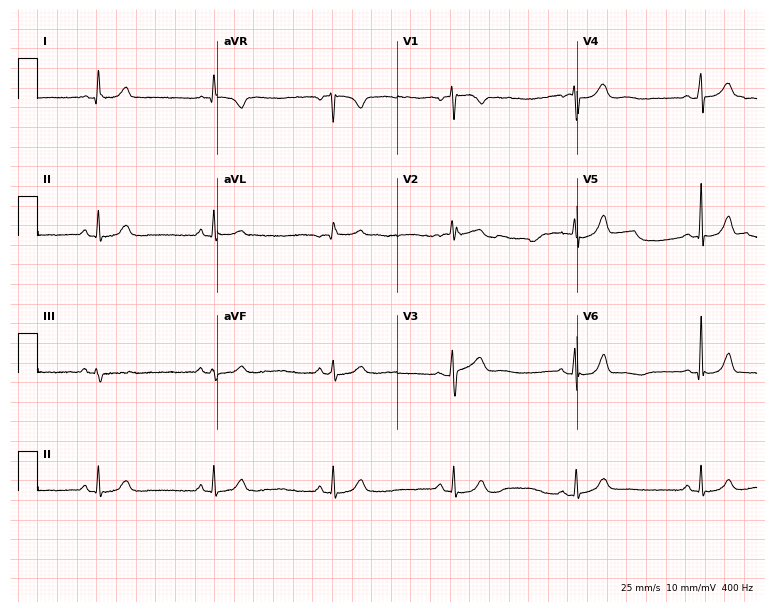
Resting 12-lead electrocardiogram (7.3-second recording at 400 Hz). Patient: a female, 21 years old. The tracing shows sinus bradycardia (a sinus rate of 50 beats per minute or less).